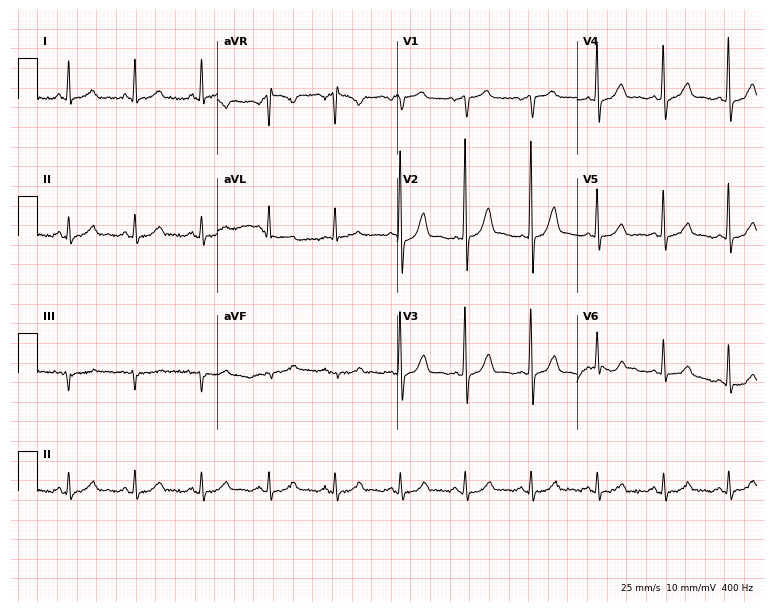
Electrocardiogram, a male patient, 81 years old. Of the six screened findings (first-degree AV block, right bundle branch block, left bundle branch block, sinus bradycardia, atrial fibrillation, sinus tachycardia), none is recorded.